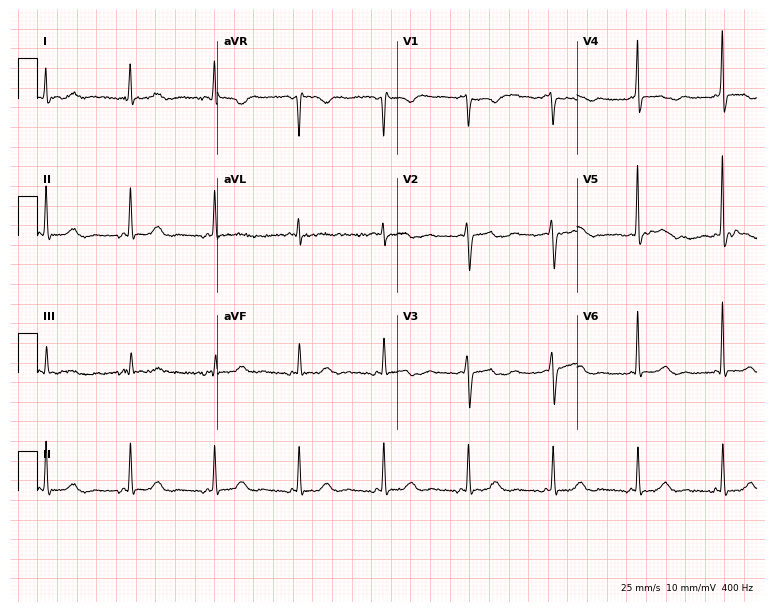
12-lead ECG from a 44-year-old female patient (7.3-second recording at 400 Hz). No first-degree AV block, right bundle branch block (RBBB), left bundle branch block (LBBB), sinus bradycardia, atrial fibrillation (AF) or sinus tachycardia recorded for this tracing.